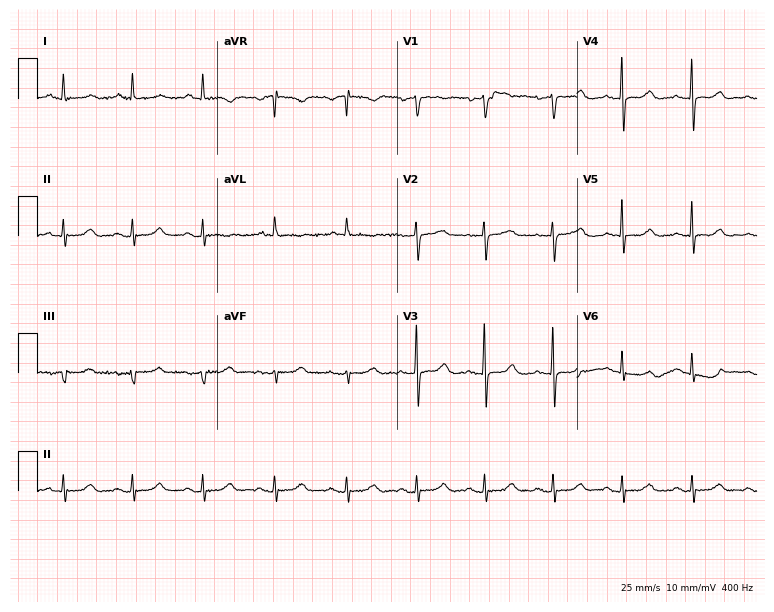
Electrocardiogram, a 55-year-old woman. Overall reading on record: normal ECG.